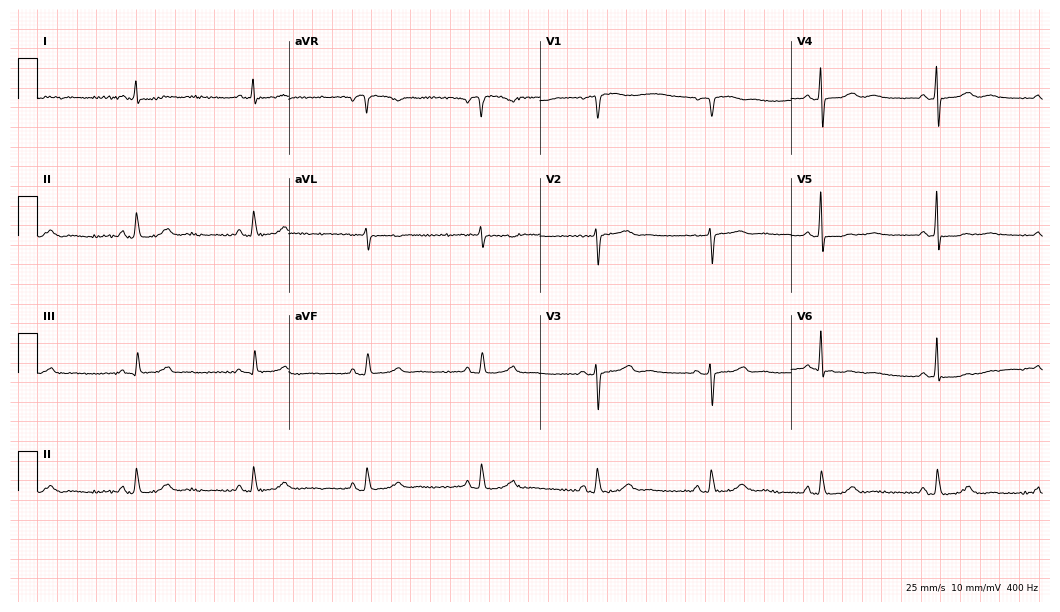
Resting 12-lead electrocardiogram. Patient: a female, 63 years old. Read as a normal ECG.